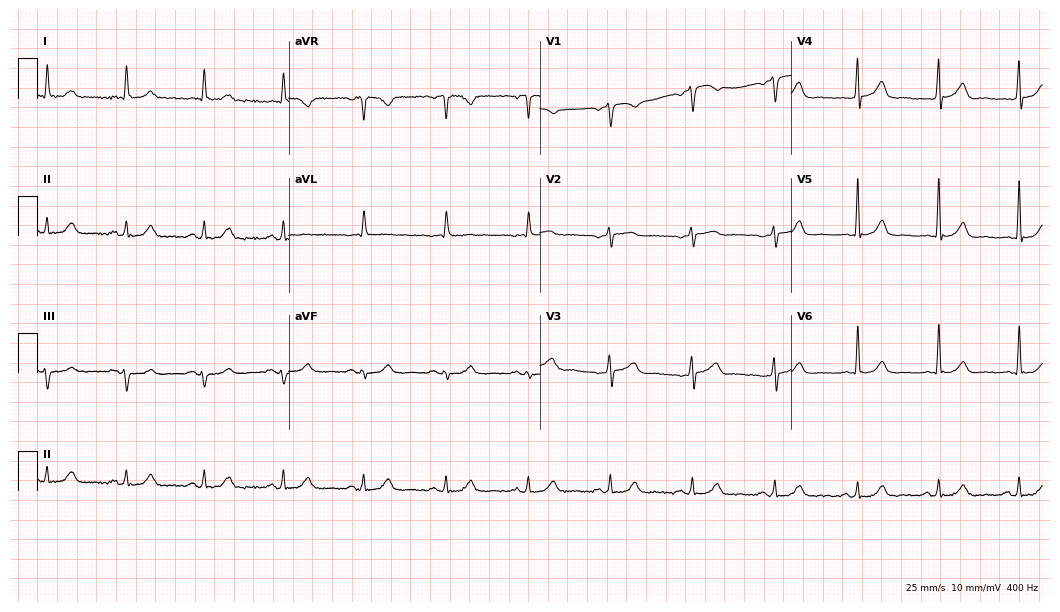
12-lead ECG from a 72-year-old male patient (10.2-second recording at 400 Hz). Recorded interpretation: within normal limits.